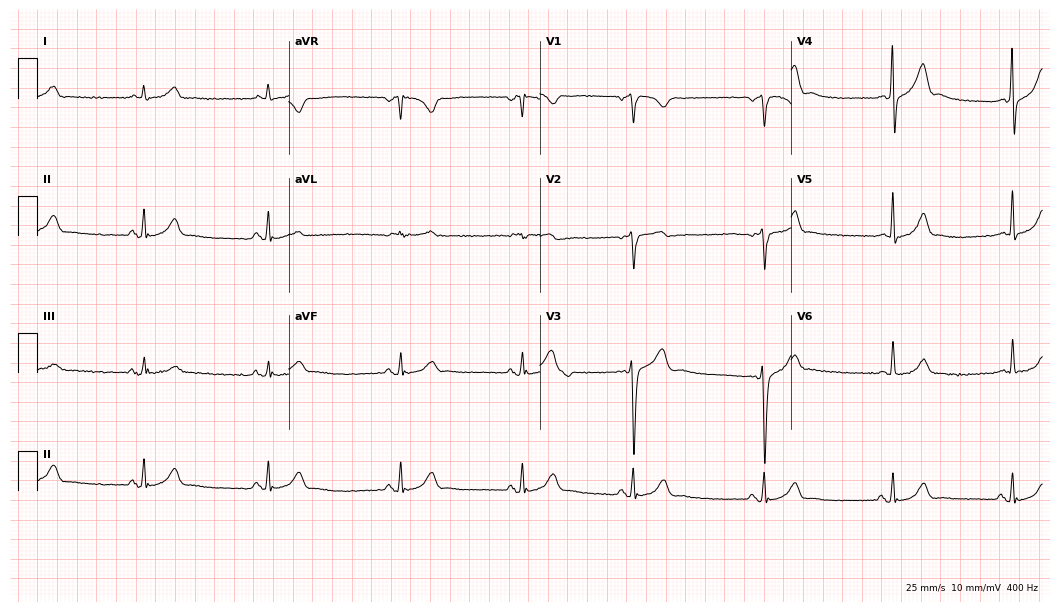
12-lead ECG (10.2-second recording at 400 Hz) from a 44-year-old male patient. Screened for six findings — first-degree AV block, right bundle branch block (RBBB), left bundle branch block (LBBB), sinus bradycardia, atrial fibrillation (AF), sinus tachycardia — none is recorded. Other findings, if any, are not listed.